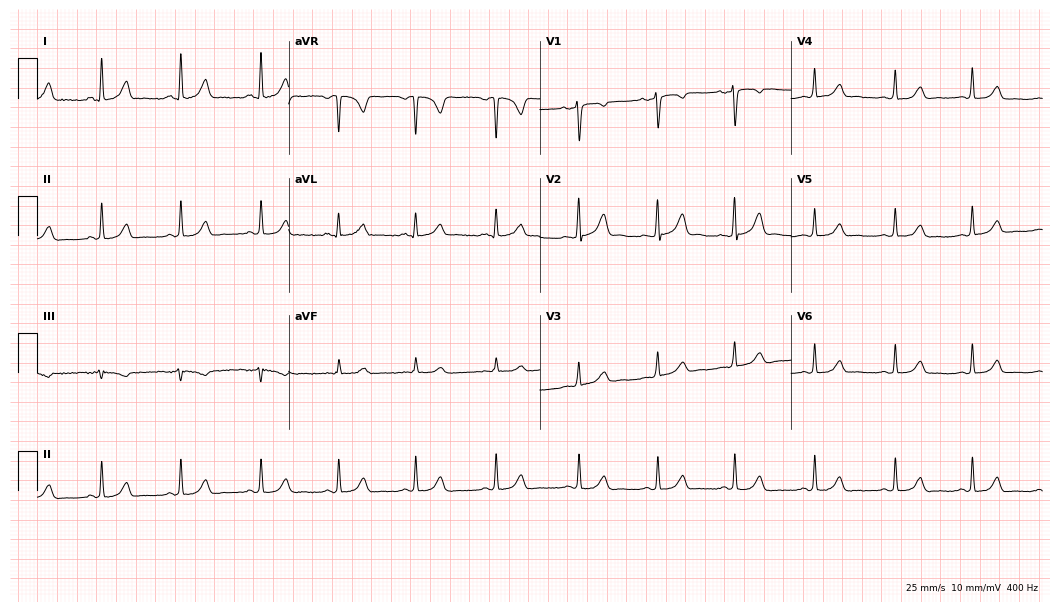
Standard 12-lead ECG recorded from a female, 50 years old. Read as a normal ECG.